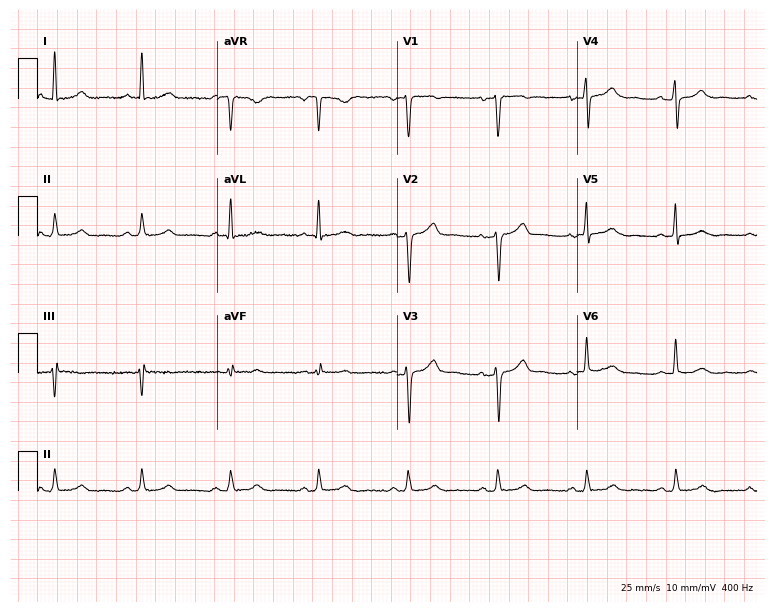
Standard 12-lead ECG recorded from a 36-year-old male. None of these six findings is recorded: first-degree AV block, right bundle branch block, left bundle branch block, sinus bradycardia, atrial fibrillation, sinus tachycardia. Findings outside these six are not listed.